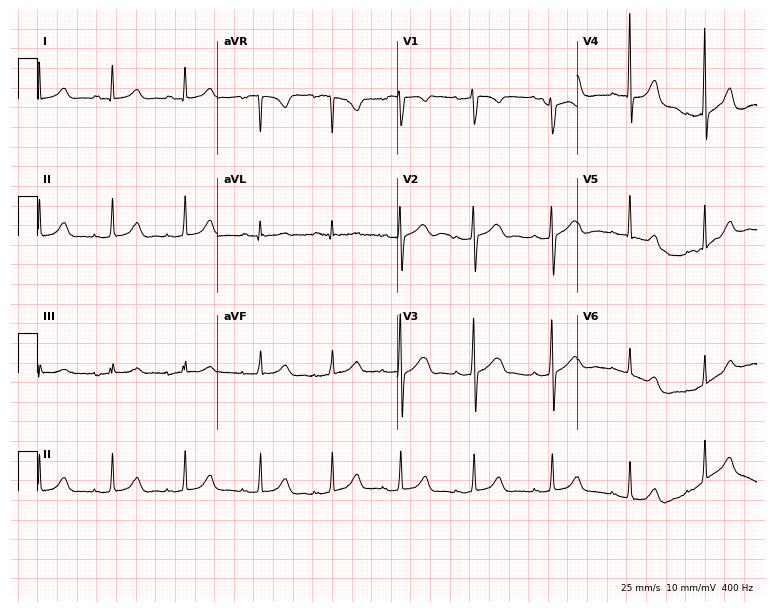
Electrocardiogram, a 27-year-old female patient. Of the six screened findings (first-degree AV block, right bundle branch block (RBBB), left bundle branch block (LBBB), sinus bradycardia, atrial fibrillation (AF), sinus tachycardia), none is recorded. Findings outside these six are not listed.